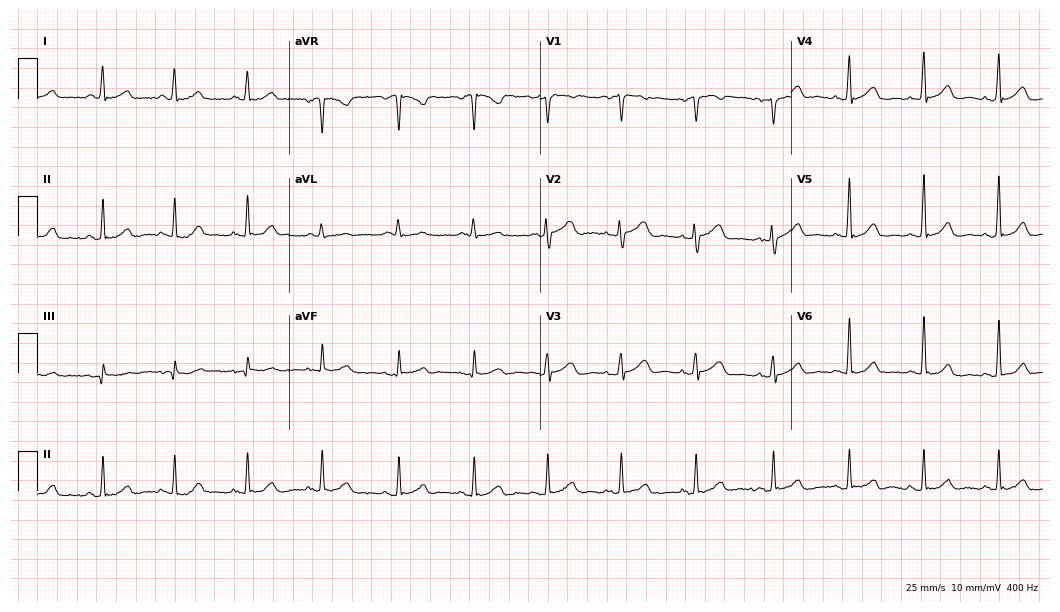
Resting 12-lead electrocardiogram. Patient: a 45-year-old female. Read as a normal ECG.